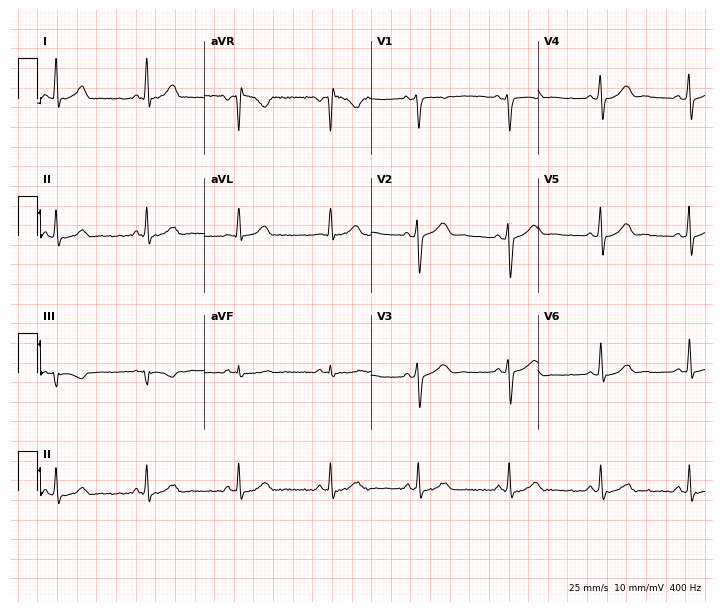
12-lead ECG from a female, 28 years old. Labelled as a normal ECG.